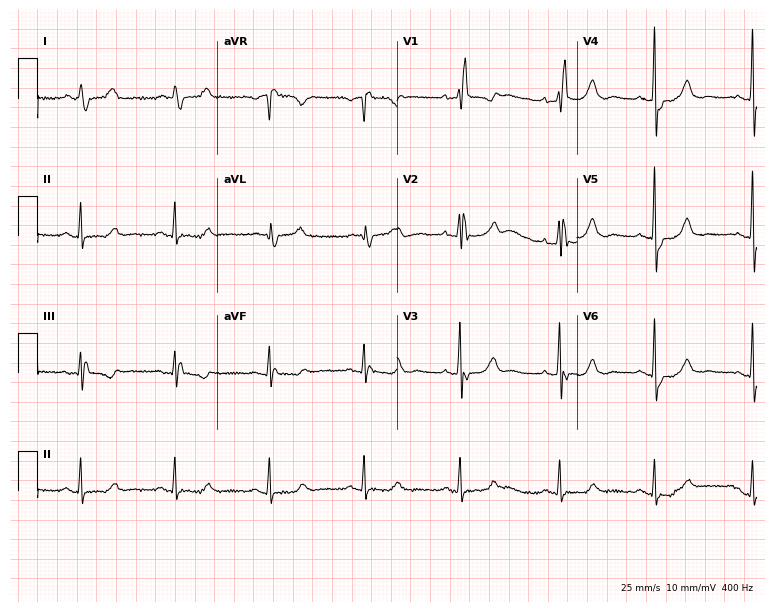
Electrocardiogram, a 68-year-old female. Interpretation includes right bundle branch block.